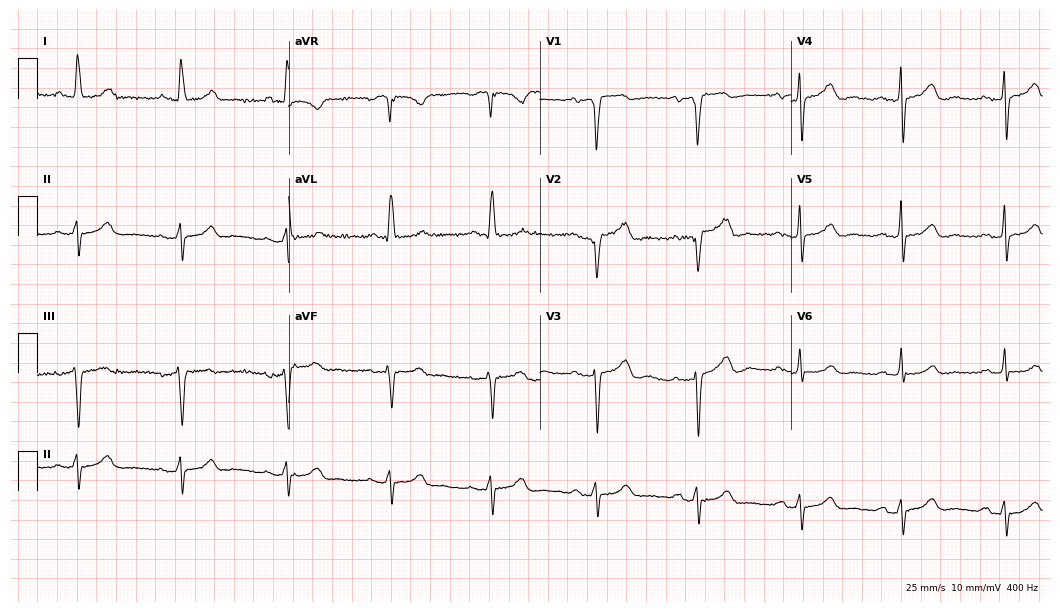
12-lead ECG (10.2-second recording at 400 Hz) from a female, 70 years old. Screened for six findings — first-degree AV block, right bundle branch block, left bundle branch block, sinus bradycardia, atrial fibrillation, sinus tachycardia — none is recorded.